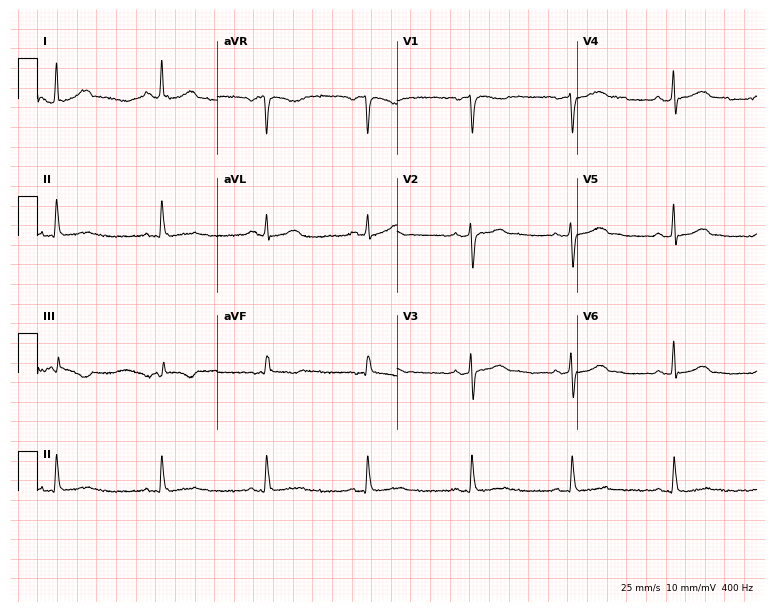
12-lead ECG from a female patient, 53 years old (7.3-second recording at 400 Hz). Recorded interpretation: within normal limits.